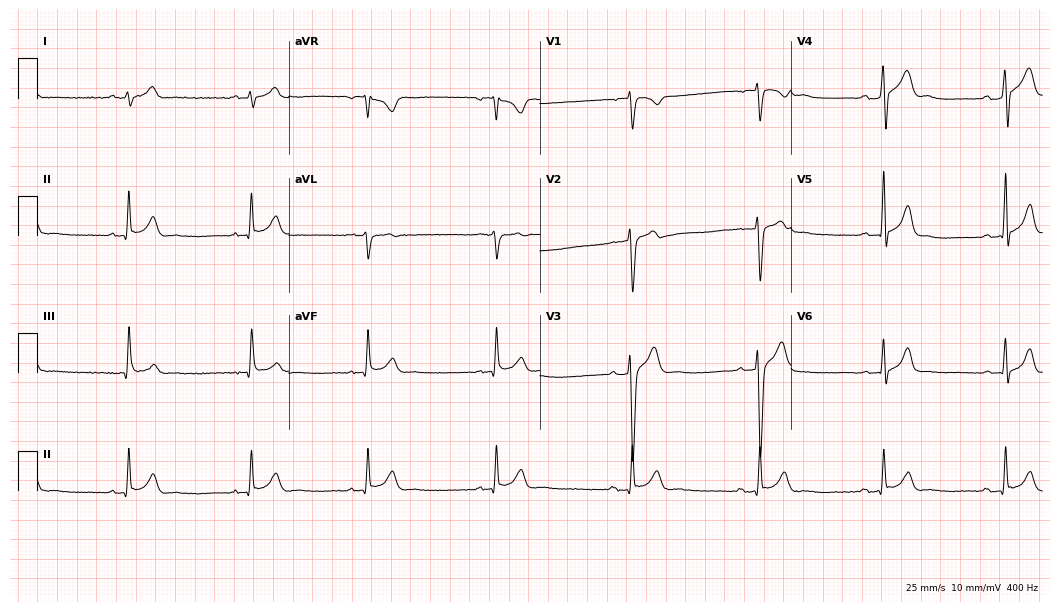
12-lead ECG from a 19-year-old man. Recorded interpretation: within normal limits.